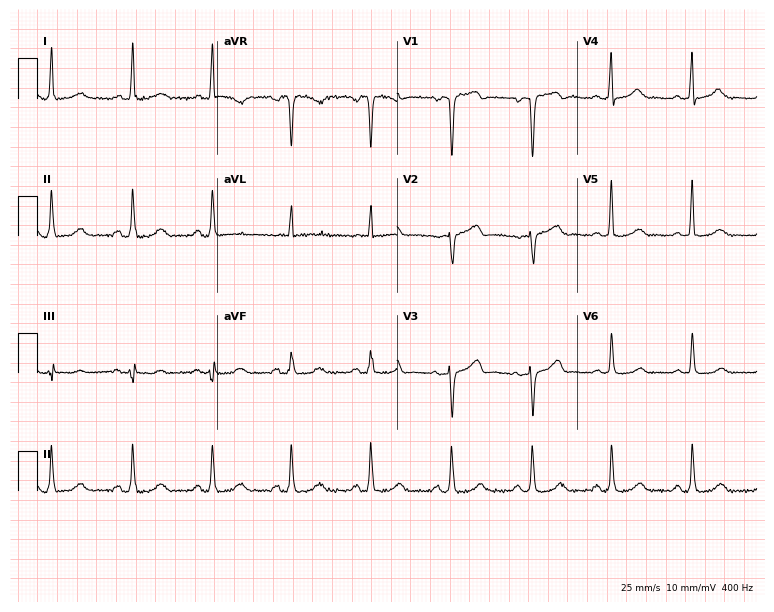
Resting 12-lead electrocardiogram (7.3-second recording at 400 Hz). Patient: a female, 52 years old. None of these six findings is recorded: first-degree AV block, right bundle branch block, left bundle branch block, sinus bradycardia, atrial fibrillation, sinus tachycardia. Other findings, if any, are not listed.